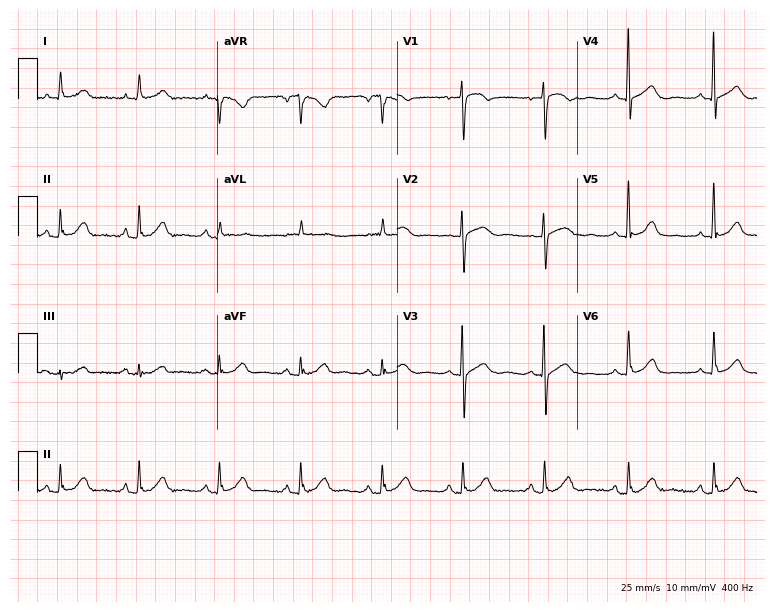
12-lead ECG from a woman, 83 years old. Screened for six findings — first-degree AV block, right bundle branch block, left bundle branch block, sinus bradycardia, atrial fibrillation, sinus tachycardia — none is recorded. Findings outside these six are not listed.